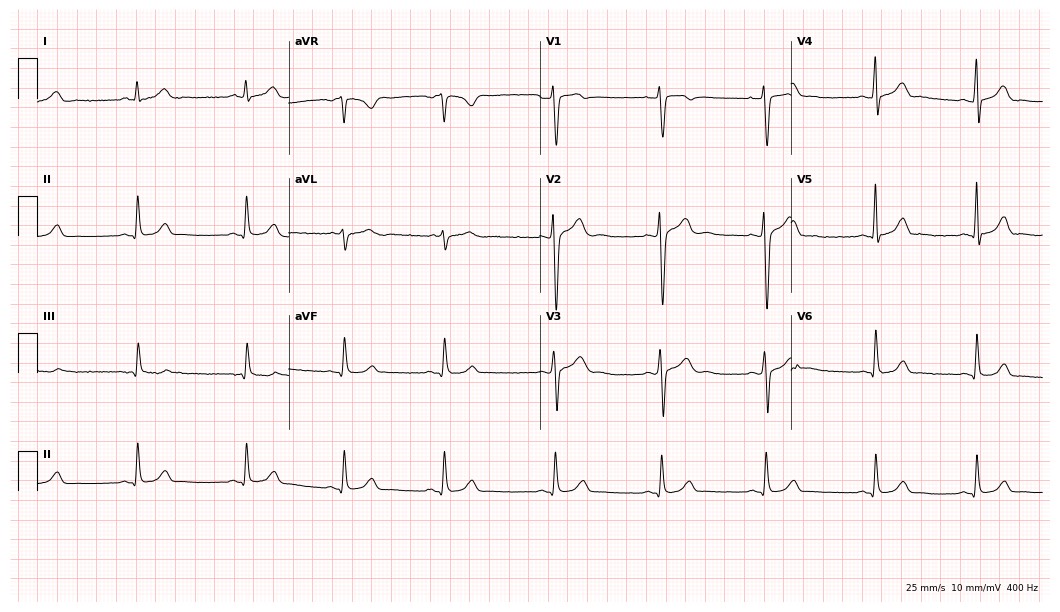
12-lead ECG (10.2-second recording at 400 Hz) from a male, 24 years old. Labelled as a normal ECG.